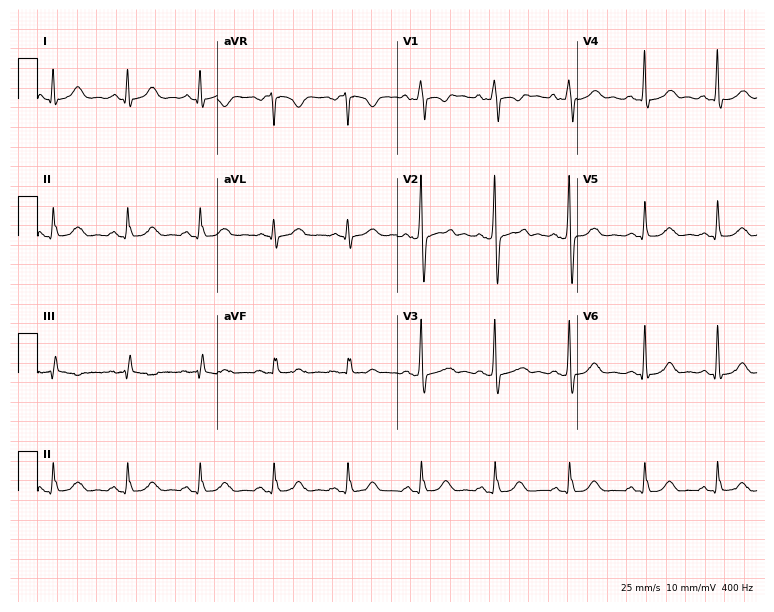
ECG — a 17-year-old male. Labelled as a normal ECG.